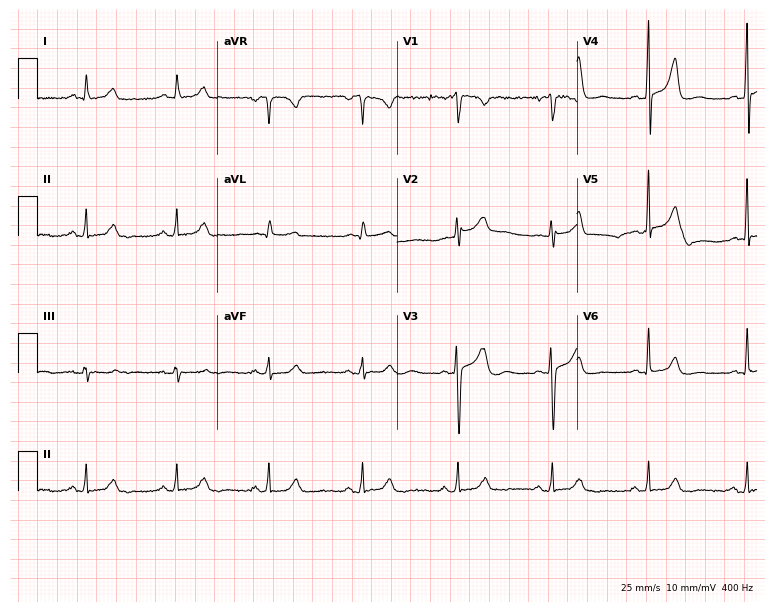
ECG — a 43-year-old female patient. Screened for six findings — first-degree AV block, right bundle branch block (RBBB), left bundle branch block (LBBB), sinus bradycardia, atrial fibrillation (AF), sinus tachycardia — none is recorded. Findings outside these six are not listed.